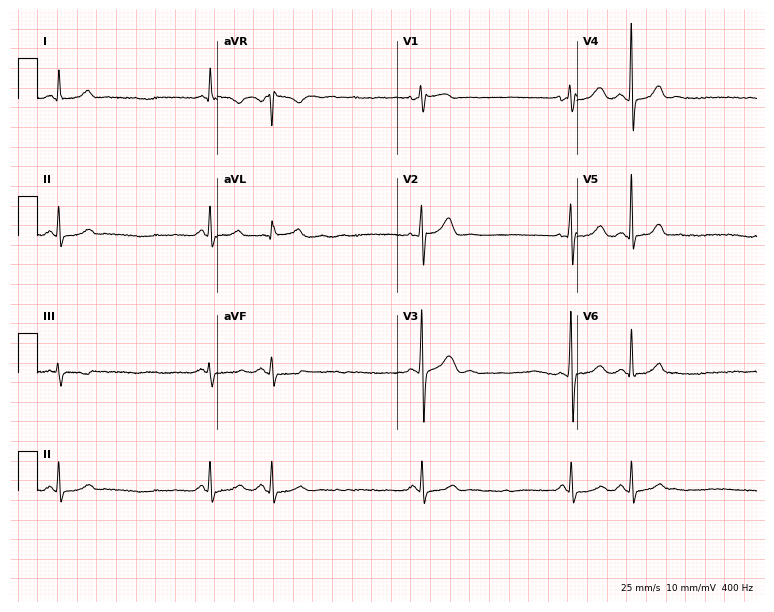
Standard 12-lead ECG recorded from a man, 74 years old (7.3-second recording at 400 Hz). None of these six findings is recorded: first-degree AV block, right bundle branch block, left bundle branch block, sinus bradycardia, atrial fibrillation, sinus tachycardia.